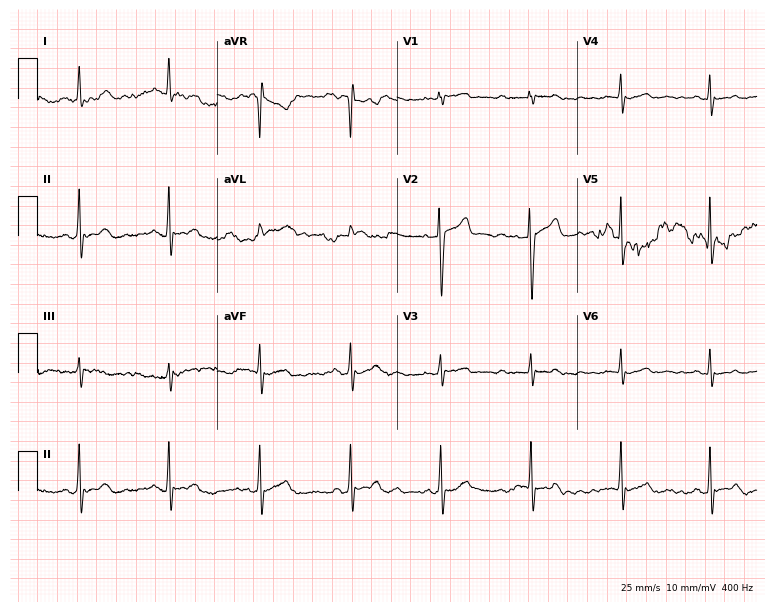
12-lead ECG from a male, 53 years old. No first-degree AV block, right bundle branch block (RBBB), left bundle branch block (LBBB), sinus bradycardia, atrial fibrillation (AF) or sinus tachycardia recorded for this tracing. Only these six findings were labelled.